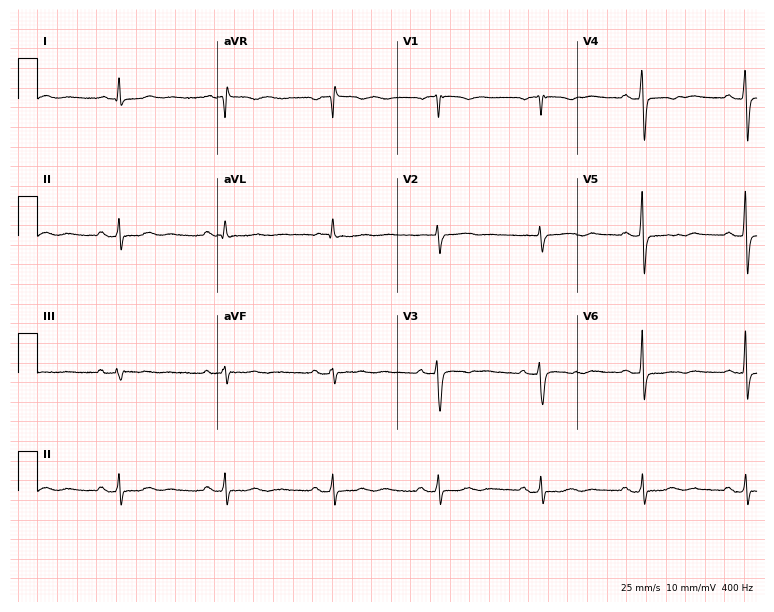
Electrocardiogram, a 57-year-old female patient. Of the six screened findings (first-degree AV block, right bundle branch block, left bundle branch block, sinus bradycardia, atrial fibrillation, sinus tachycardia), none is recorded.